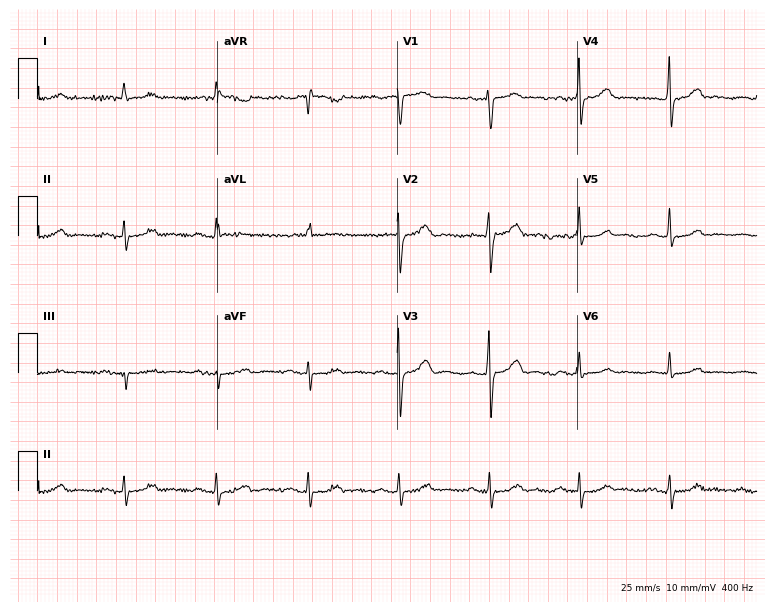
ECG — a male, 77 years old. Labelled as a normal ECG.